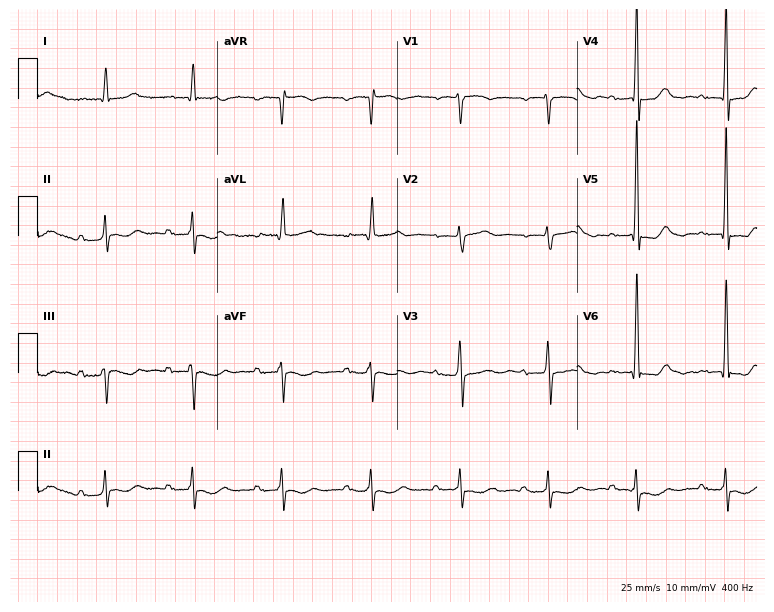
Resting 12-lead electrocardiogram. Patient: a 67-year-old man. The tracing shows first-degree AV block.